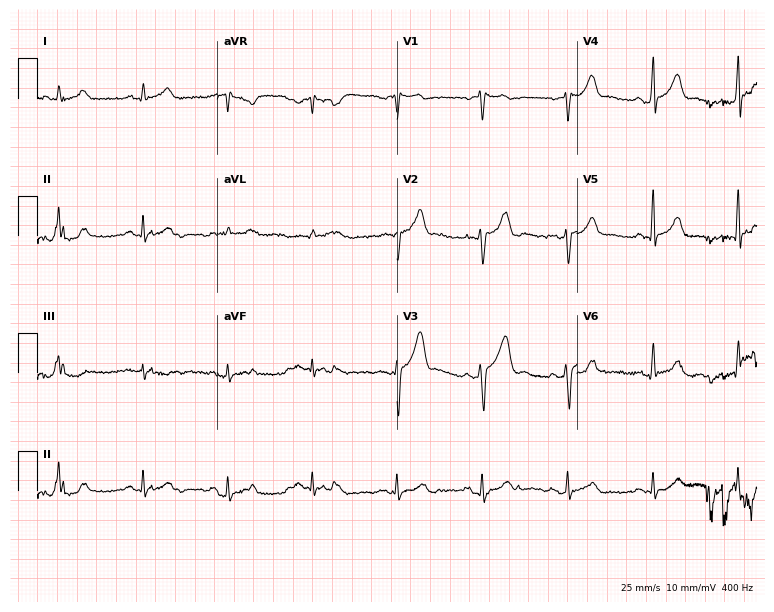
Electrocardiogram, a 46-year-old man. Overall reading on record: normal ECG.